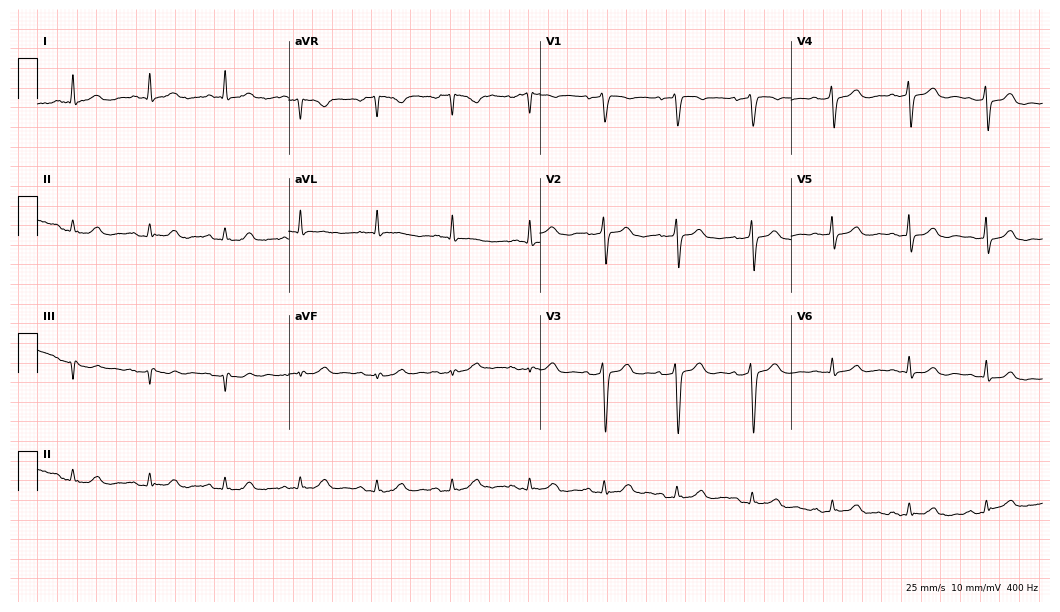
12-lead ECG from a female patient, 57 years old. Labelled as a normal ECG.